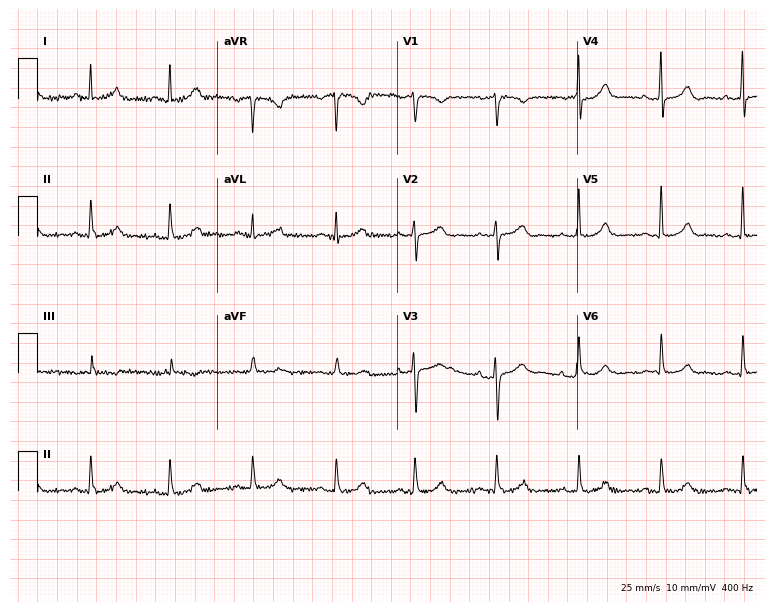
Electrocardiogram (7.3-second recording at 400 Hz), a female, 45 years old. Overall reading on record: normal ECG.